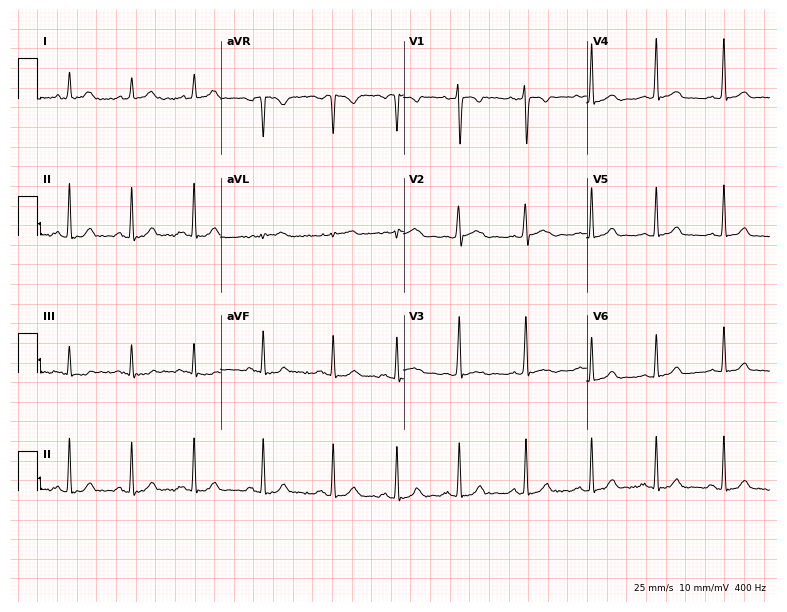
ECG (7.5-second recording at 400 Hz) — a woman, 29 years old. Screened for six findings — first-degree AV block, right bundle branch block, left bundle branch block, sinus bradycardia, atrial fibrillation, sinus tachycardia — none is recorded. Only these six findings were labelled.